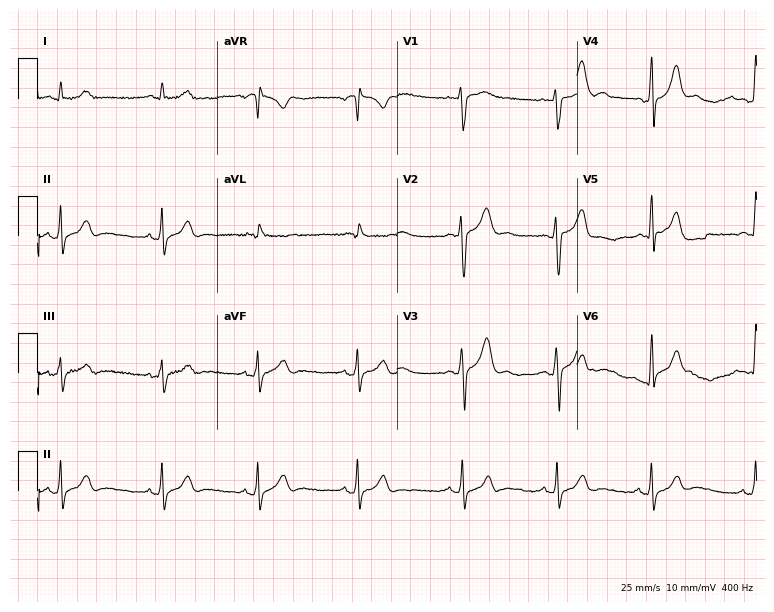
Standard 12-lead ECG recorded from a 31-year-old man (7.3-second recording at 400 Hz). None of these six findings is recorded: first-degree AV block, right bundle branch block (RBBB), left bundle branch block (LBBB), sinus bradycardia, atrial fibrillation (AF), sinus tachycardia.